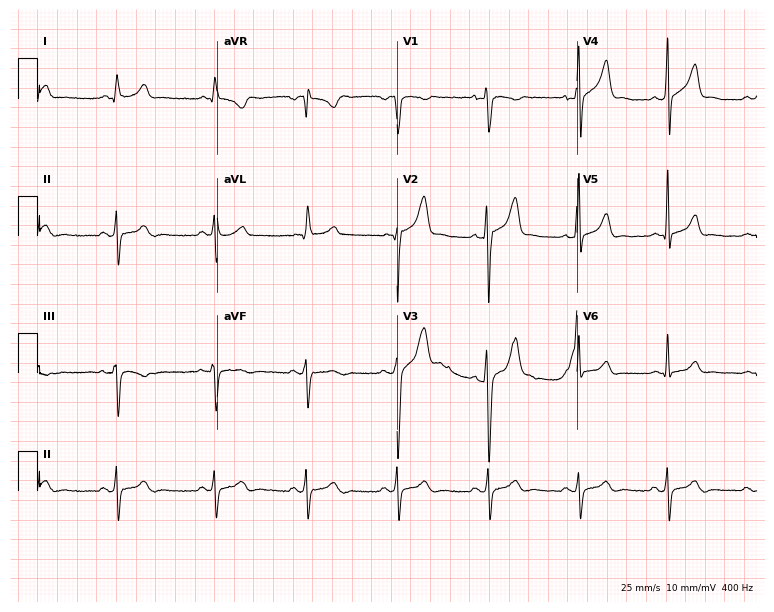
Electrocardiogram (7.3-second recording at 400 Hz), a male, 38 years old. Of the six screened findings (first-degree AV block, right bundle branch block (RBBB), left bundle branch block (LBBB), sinus bradycardia, atrial fibrillation (AF), sinus tachycardia), none is recorded.